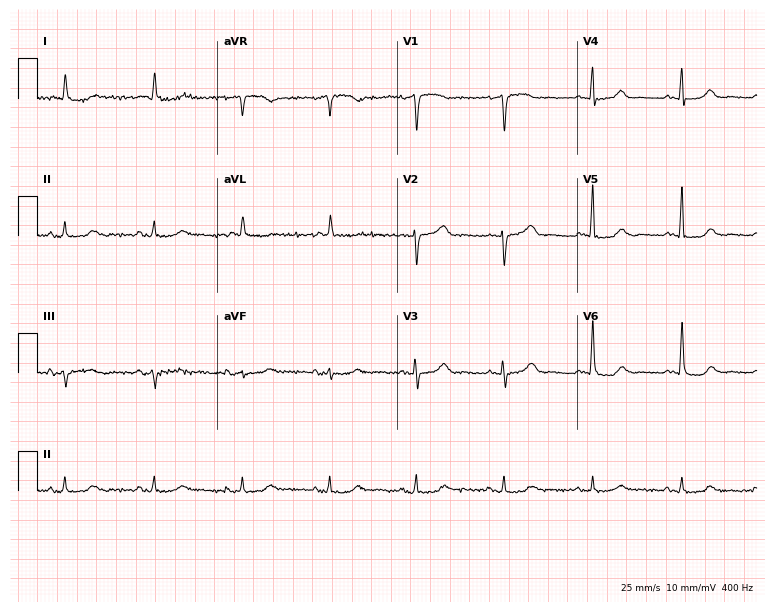
Resting 12-lead electrocardiogram. Patient: a female, 85 years old. None of these six findings is recorded: first-degree AV block, right bundle branch block, left bundle branch block, sinus bradycardia, atrial fibrillation, sinus tachycardia.